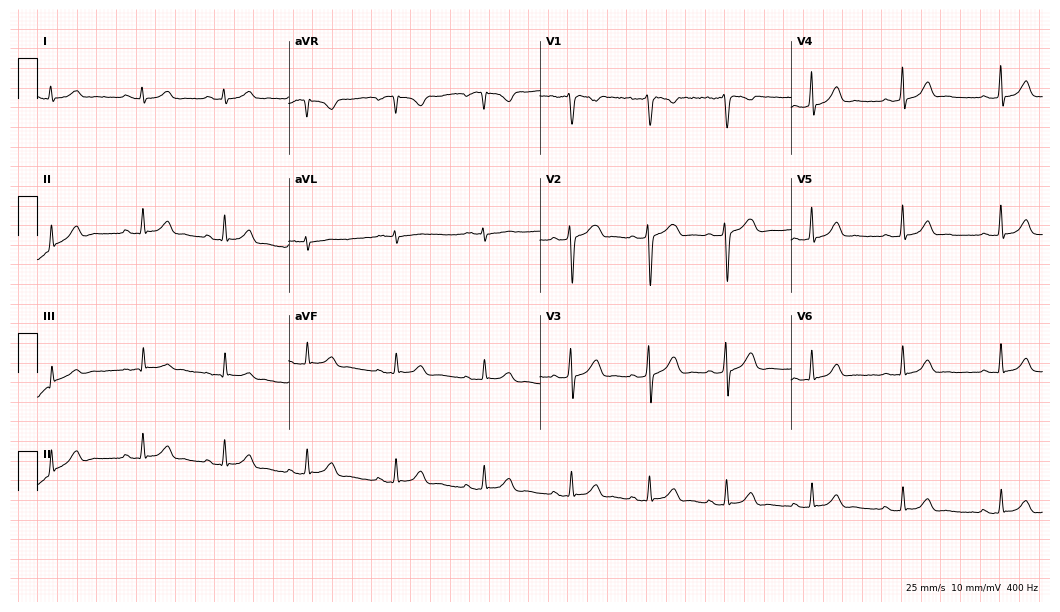
Electrocardiogram, a 23-year-old woman. Of the six screened findings (first-degree AV block, right bundle branch block, left bundle branch block, sinus bradycardia, atrial fibrillation, sinus tachycardia), none is recorded. Findings outside these six are not listed.